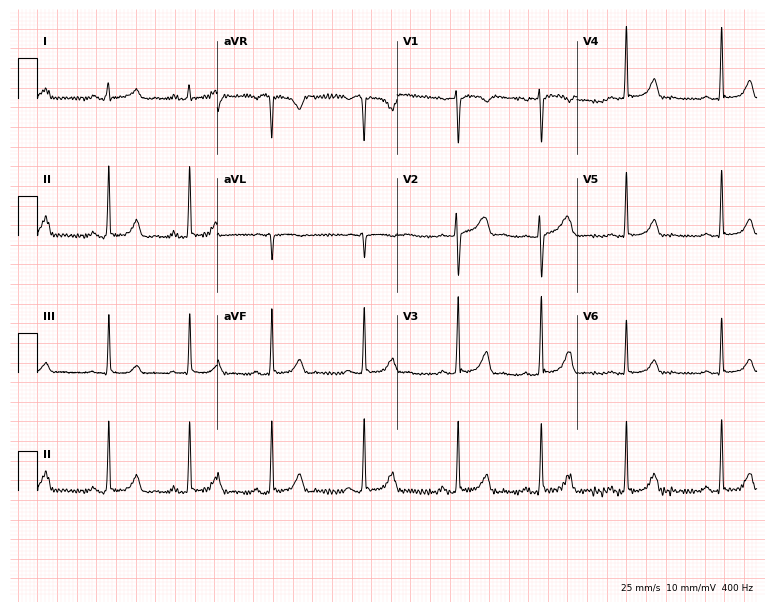
Resting 12-lead electrocardiogram. Patient: a female, 35 years old. Read as a normal ECG.